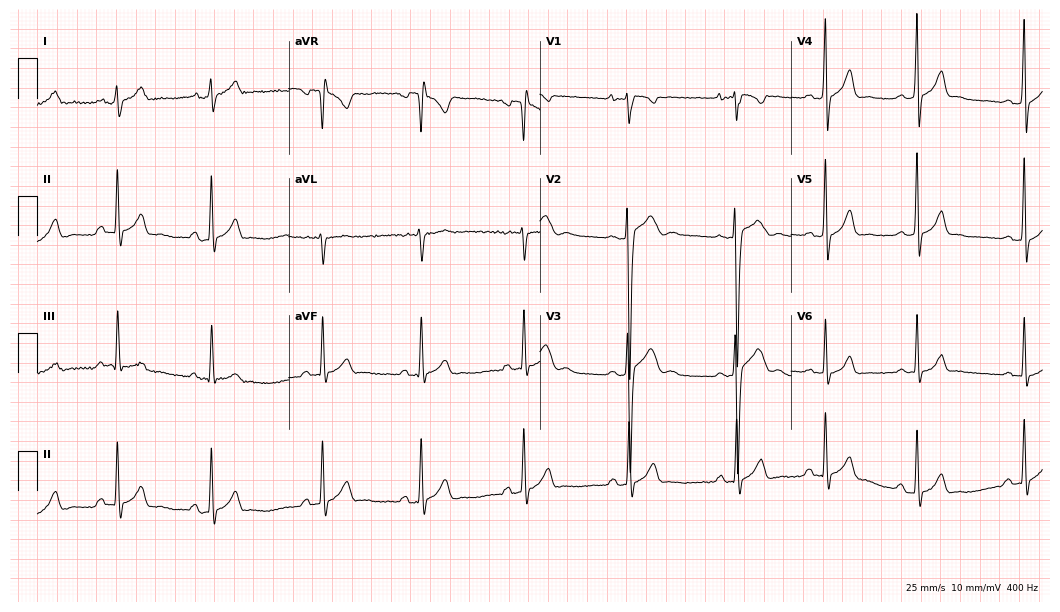
ECG — a 17-year-old man. Labelled as a normal ECG.